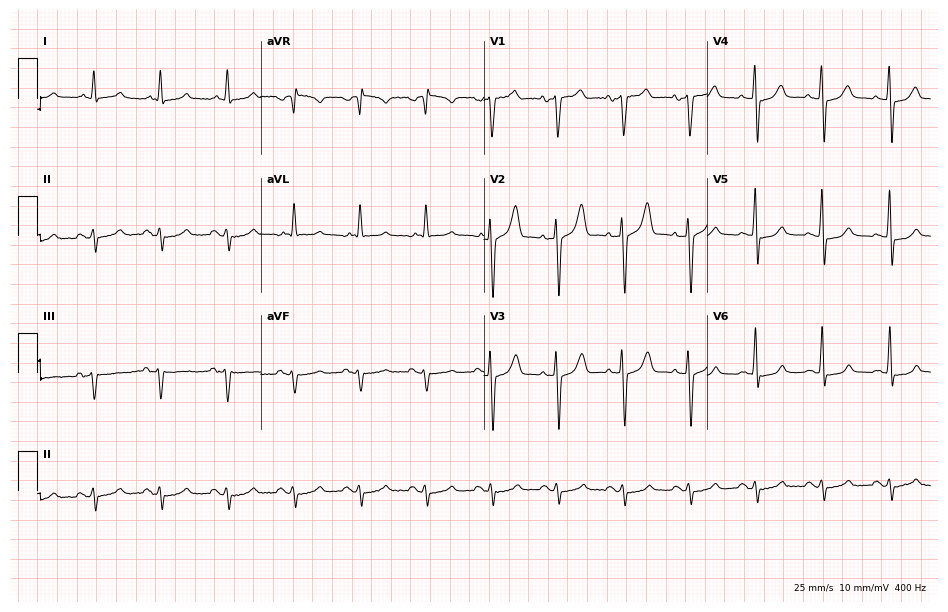
12-lead ECG from a 62-year-old male. No first-degree AV block, right bundle branch block, left bundle branch block, sinus bradycardia, atrial fibrillation or sinus tachycardia recorded for this tracing. Findings outside these six are not listed.